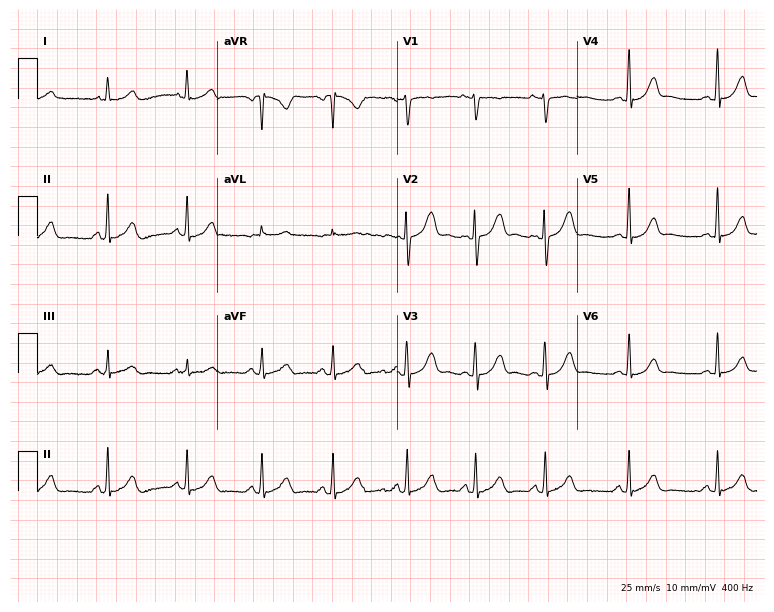
Resting 12-lead electrocardiogram. Patient: a 19-year-old woman. Read as a normal ECG.